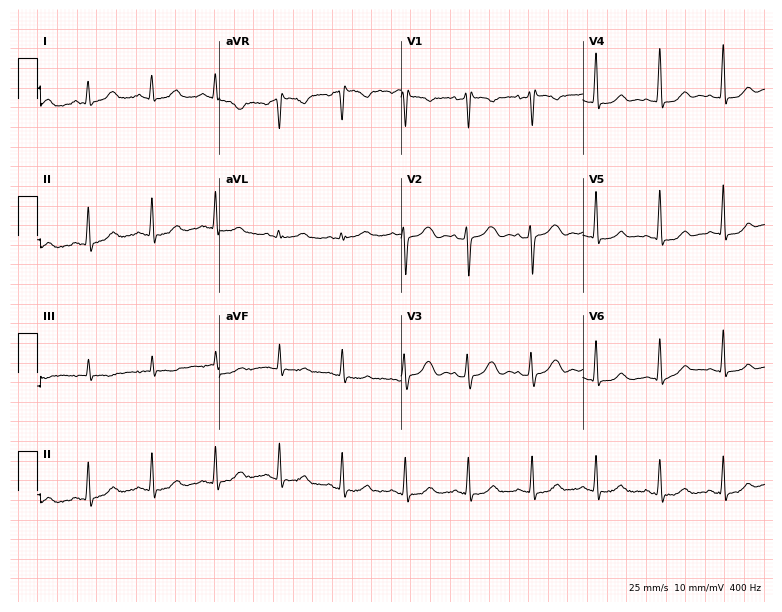
12-lead ECG from a 43-year-old female patient (7.4-second recording at 400 Hz). No first-degree AV block, right bundle branch block, left bundle branch block, sinus bradycardia, atrial fibrillation or sinus tachycardia recorded for this tracing.